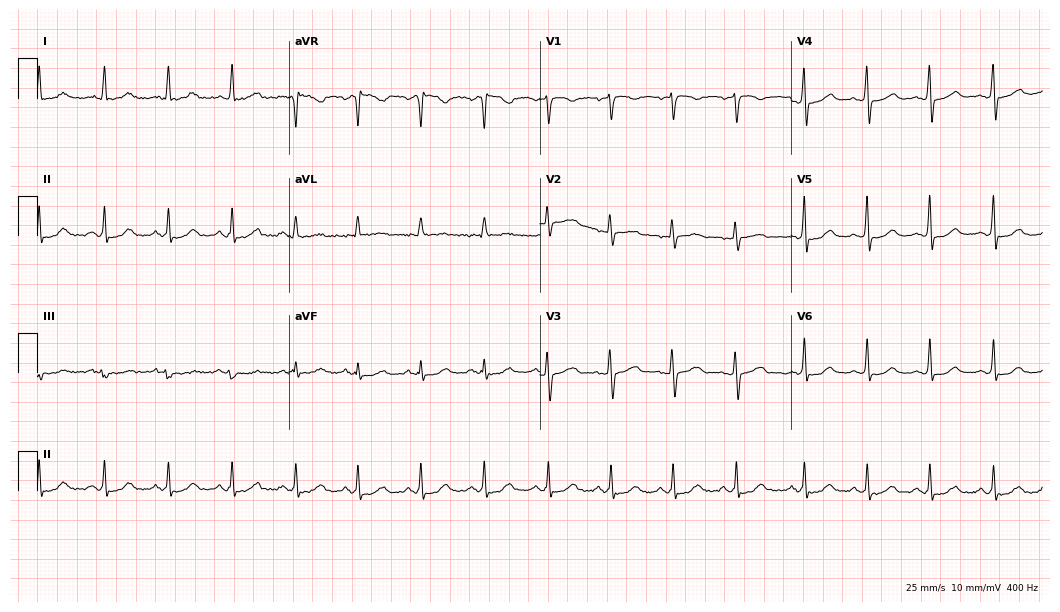
Resting 12-lead electrocardiogram (10.2-second recording at 400 Hz). Patient: a 47-year-old female. Read as a normal ECG.